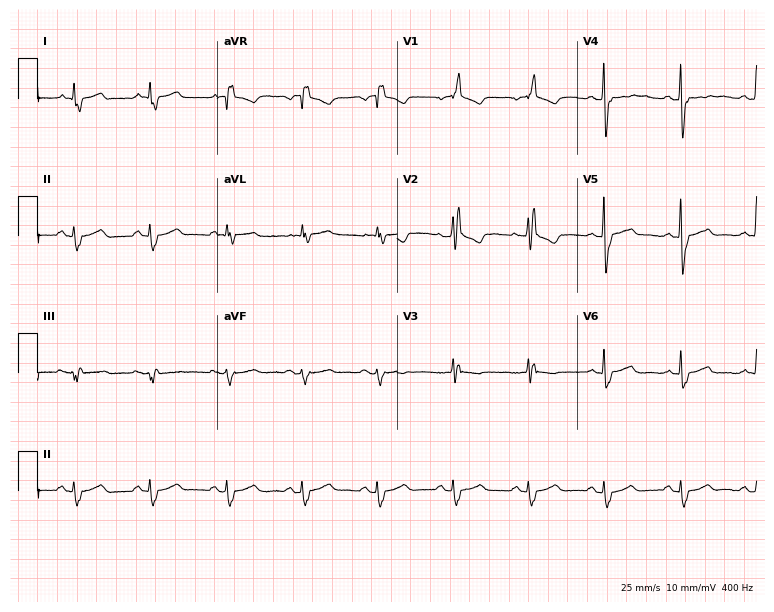
Electrocardiogram, an 82-year-old male. Of the six screened findings (first-degree AV block, right bundle branch block, left bundle branch block, sinus bradycardia, atrial fibrillation, sinus tachycardia), none is recorded. Only these six findings were labelled.